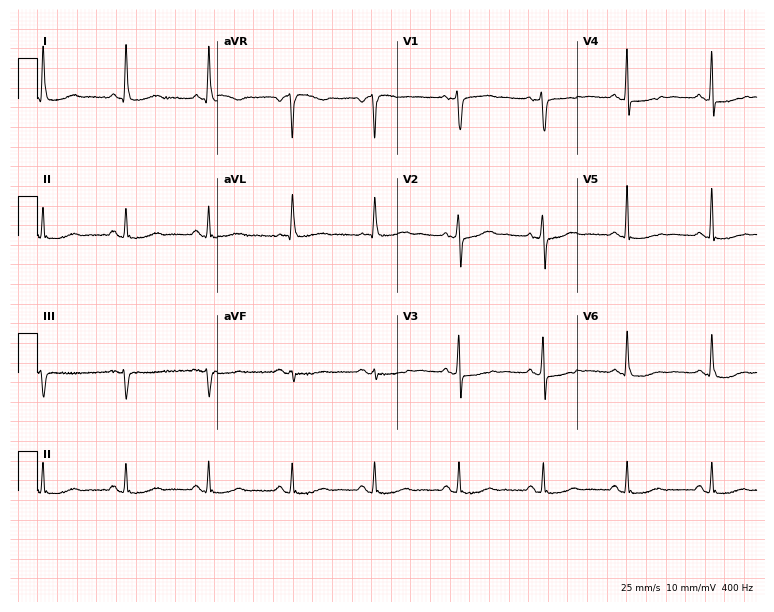
12-lead ECG from a woman, 69 years old. Screened for six findings — first-degree AV block, right bundle branch block, left bundle branch block, sinus bradycardia, atrial fibrillation, sinus tachycardia — none is recorded. Other findings, if any, are not listed.